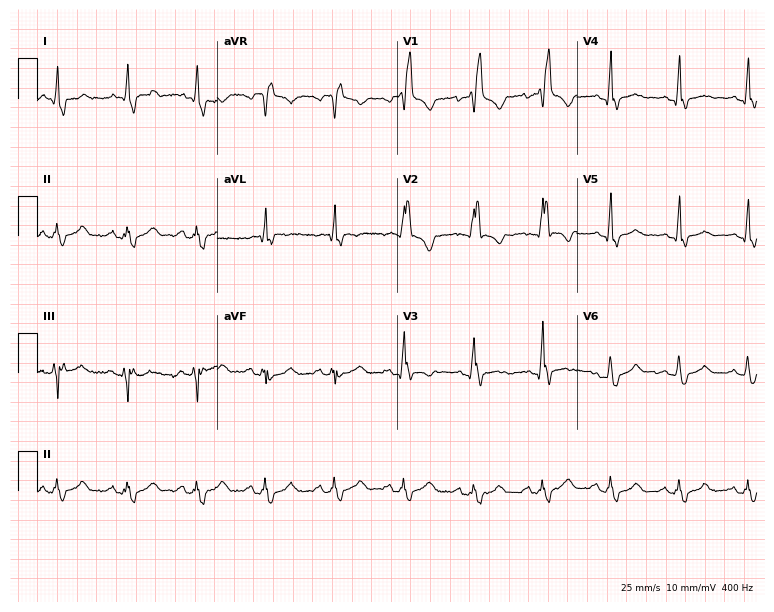
Standard 12-lead ECG recorded from a female patient, 44 years old (7.3-second recording at 400 Hz). The tracing shows right bundle branch block.